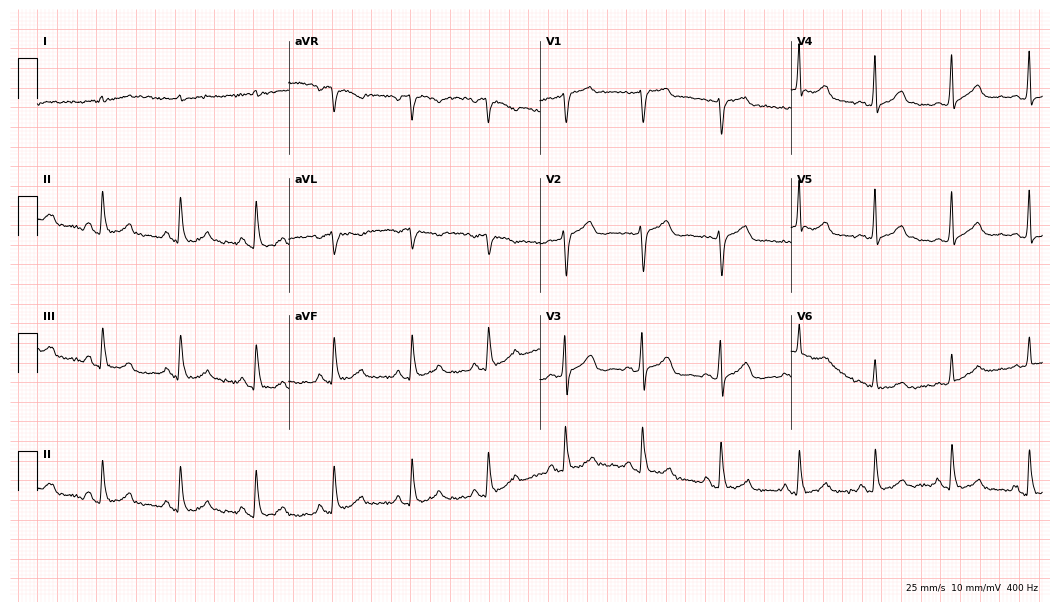
Electrocardiogram, a male, 85 years old. Overall reading on record: normal ECG.